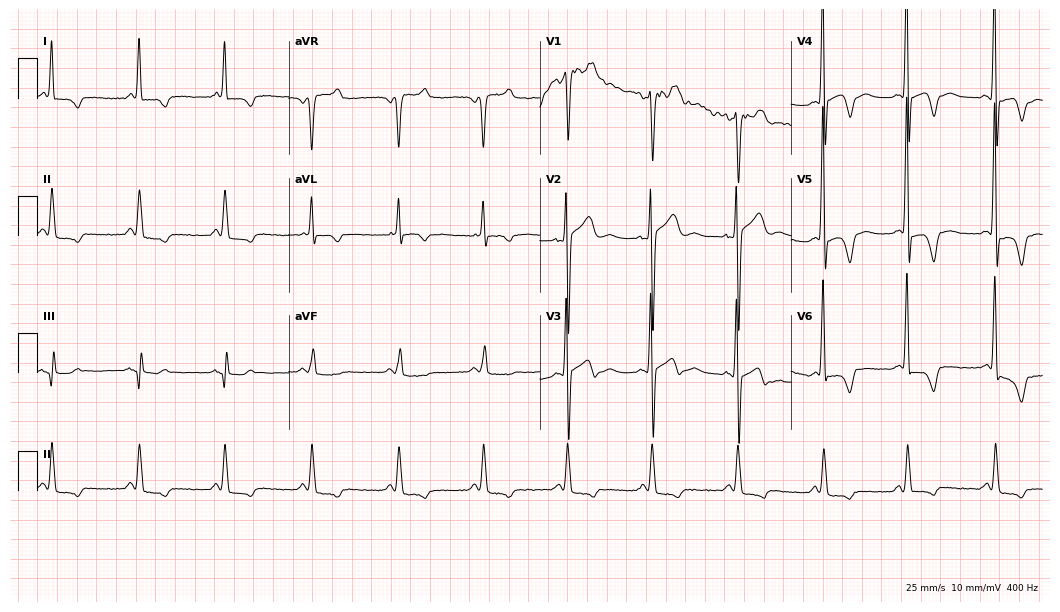
12-lead ECG (10.2-second recording at 400 Hz) from a man, 54 years old. Screened for six findings — first-degree AV block, right bundle branch block, left bundle branch block, sinus bradycardia, atrial fibrillation, sinus tachycardia — none is recorded. Other findings, if any, are not listed.